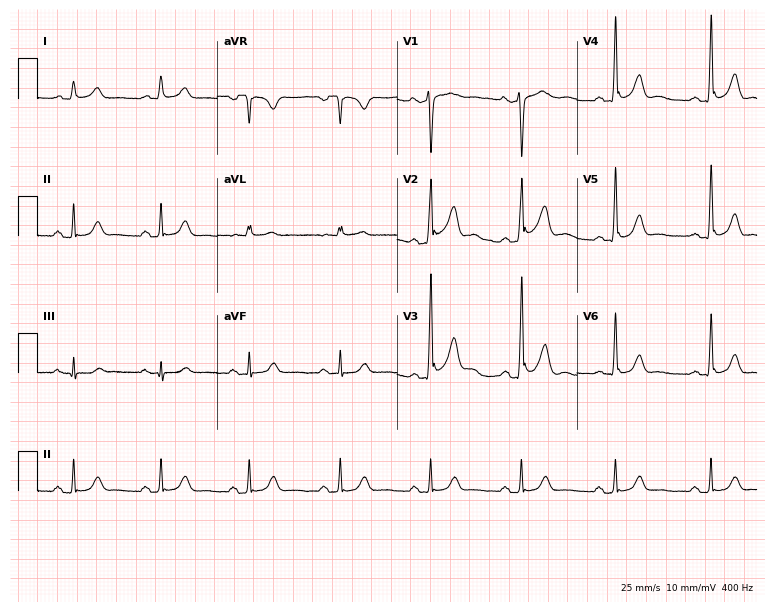
ECG (7.3-second recording at 400 Hz) — a male, 36 years old. Labelled as a normal ECG.